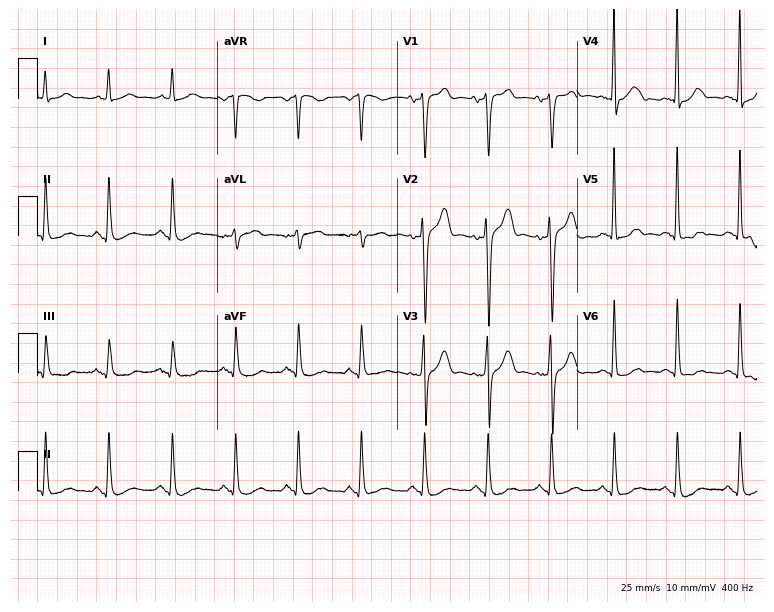
12-lead ECG from a 65-year-old woman. Screened for six findings — first-degree AV block, right bundle branch block (RBBB), left bundle branch block (LBBB), sinus bradycardia, atrial fibrillation (AF), sinus tachycardia — none is recorded.